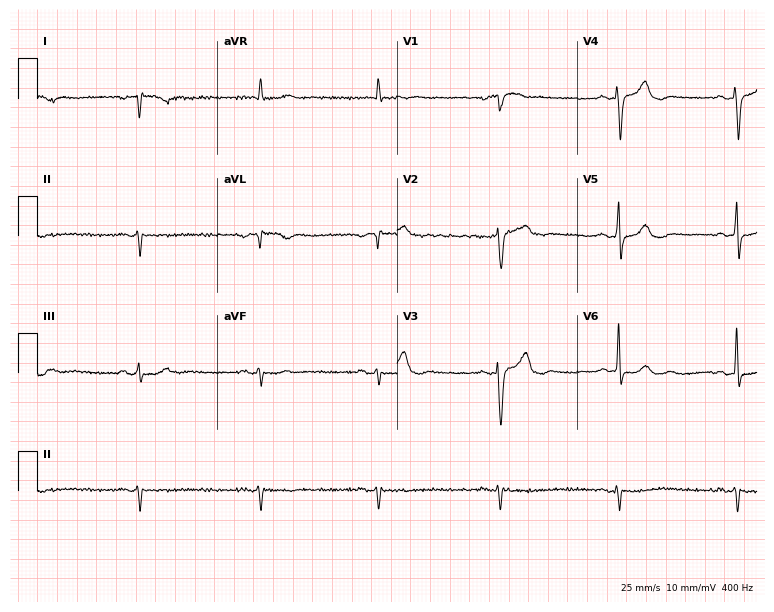
12-lead ECG from a male patient, 80 years old (7.3-second recording at 400 Hz). No first-degree AV block, right bundle branch block (RBBB), left bundle branch block (LBBB), sinus bradycardia, atrial fibrillation (AF) or sinus tachycardia recorded for this tracing. Other findings, if any, are not listed.